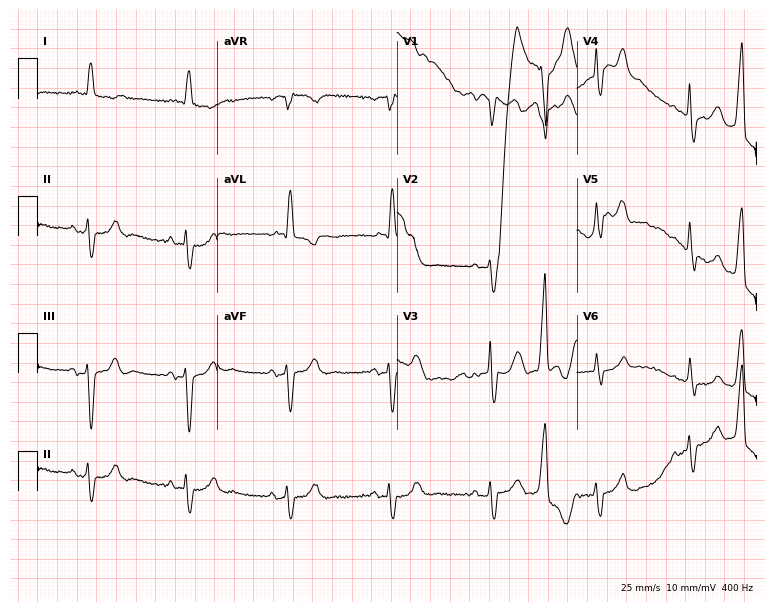
Resting 12-lead electrocardiogram (7.3-second recording at 400 Hz). Patient: an 84-year-old male. None of these six findings is recorded: first-degree AV block, right bundle branch block (RBBB), left bundle branch block (LBBB), sinus bradycardia, atrial fibrillation (AF), sinus tachycardia.